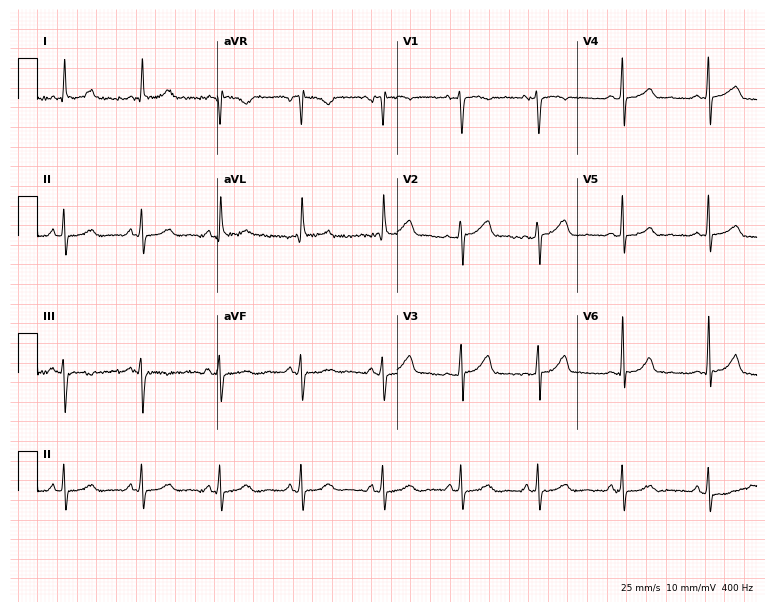
ECG — a female, 26 years old. Screened for six findings — first-degree AV block, right bundle branch block, left bundle branch block, sinus bradycardia, atrial fibrillation, sinus tachycardia — none is recorded. Findings outside these six are not listed.